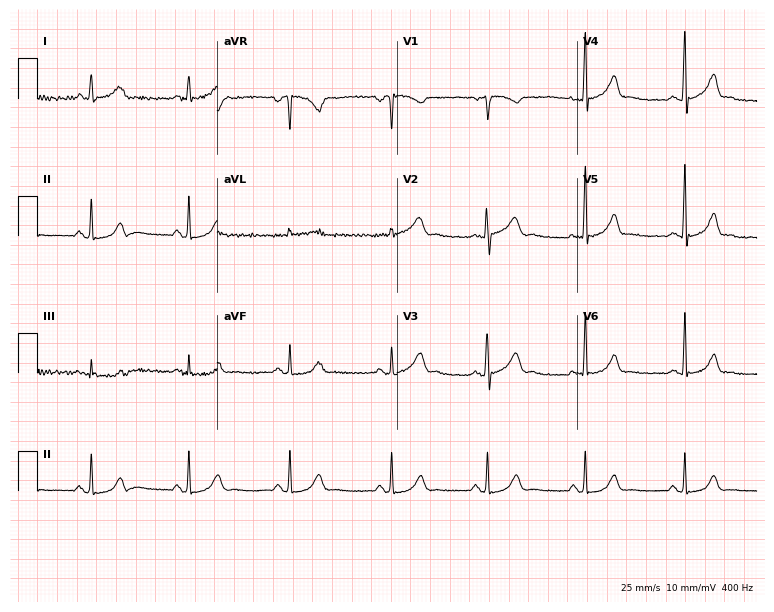
12-lead ECG from a 39-year-old woman. Recorded interpretation: within normal limits.